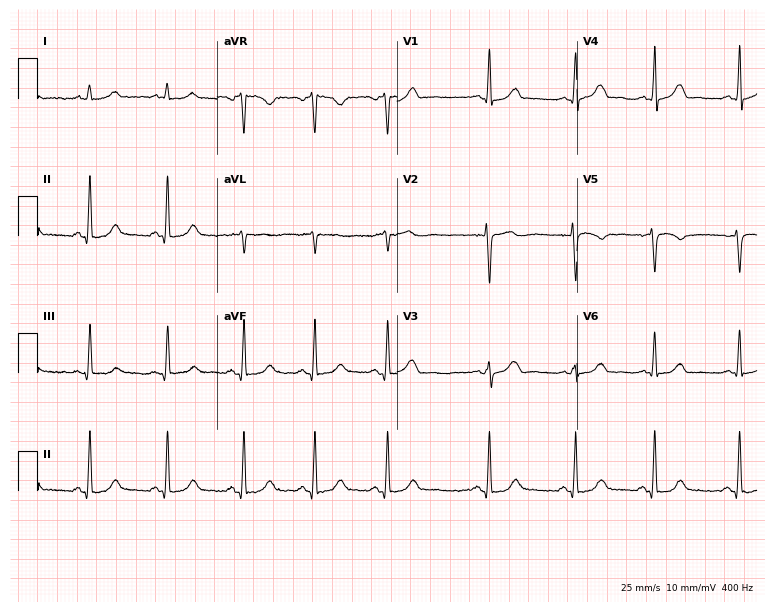
12-lead ECG (7.3-second recording at 400 Hz) from a female patient, 30 years old. Screened for six findings — first-degree AV block, right bundle branch block (RBBB), left bundle branch block (LBBB), sinus bradycardia, atrial fibrillation (AF), sinus tachycardia — none is recorded.